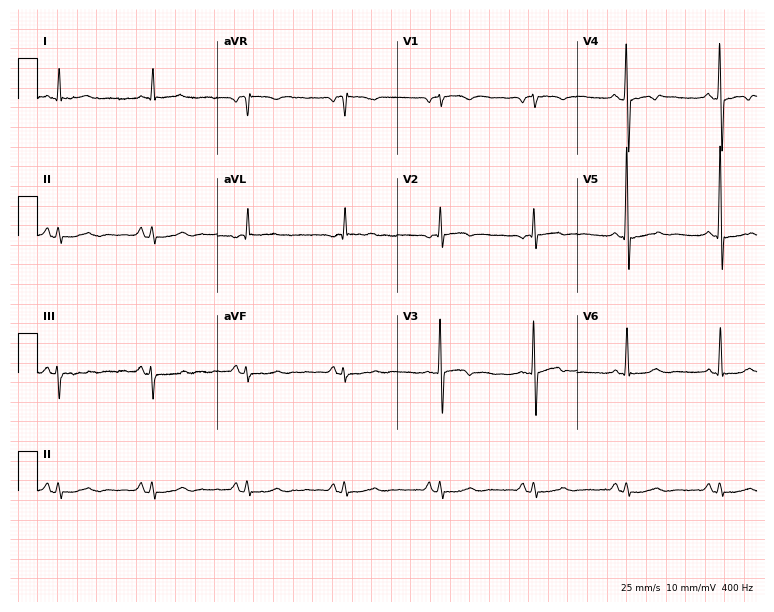
Resting 12-lead electrocardiogram. Patient: an 85-year-old man. None of these six findings is recorded: first-degree AV block, right bundle branch block (RBBB), left bundle branch block (LBBB), sinus bradycardia, atrial fibrillation (AF), sinus tachycardia. Findings outside these six are not listed.